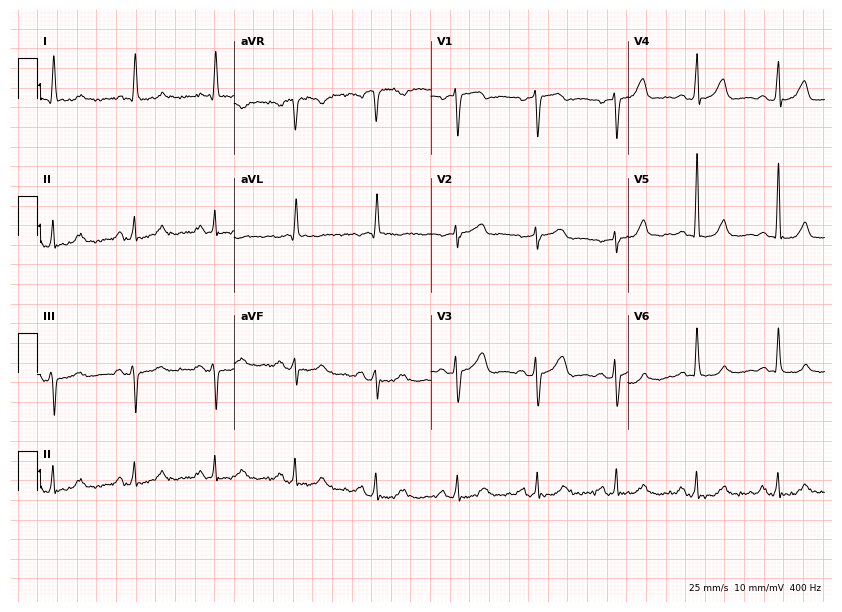
12-lead ECG from a 71-year-old woman. Recorded interpretation: within normal limits.